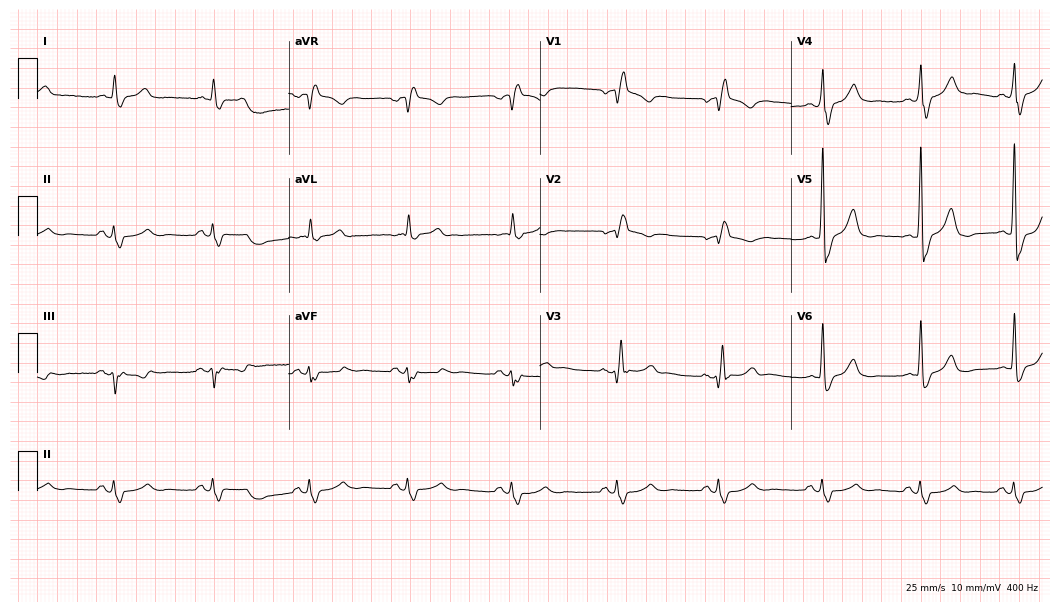
12-lead ECG (10.2-second recording at 400 Hz) from a 70-year-old male patient. Findings include right bundle branch block.